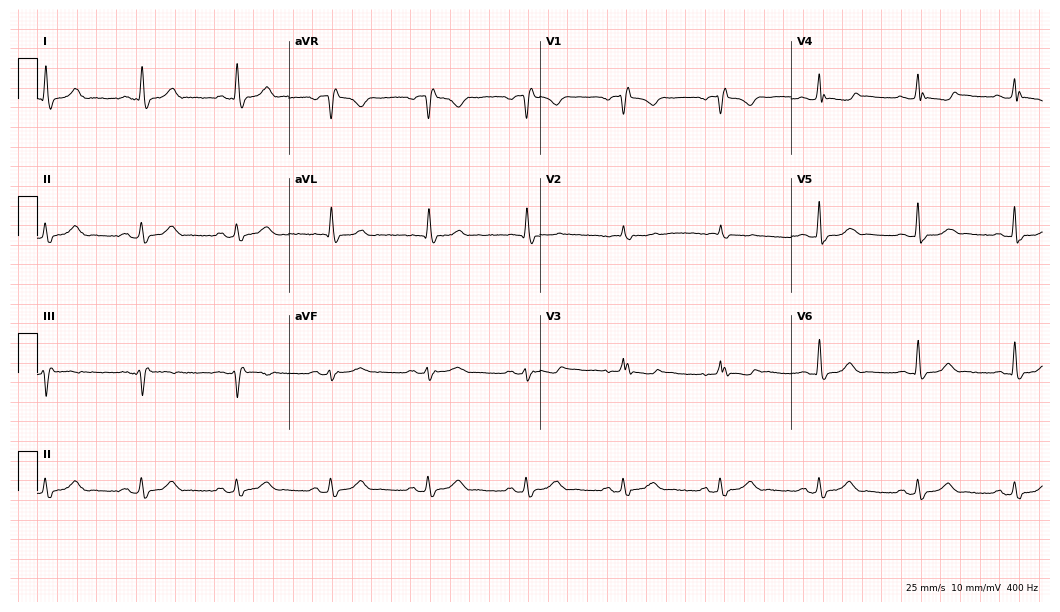
Electrocardiogram (10.2-second recording at 400 Hz), a 58-year-old woman. Of the six screened findings (first-degree AV block, right bundle branch block, left bundle branch block, sinus bradycardia, atrial fibrillation, sinus tachycardia), none is recorded. Findings outside these six are not listed.